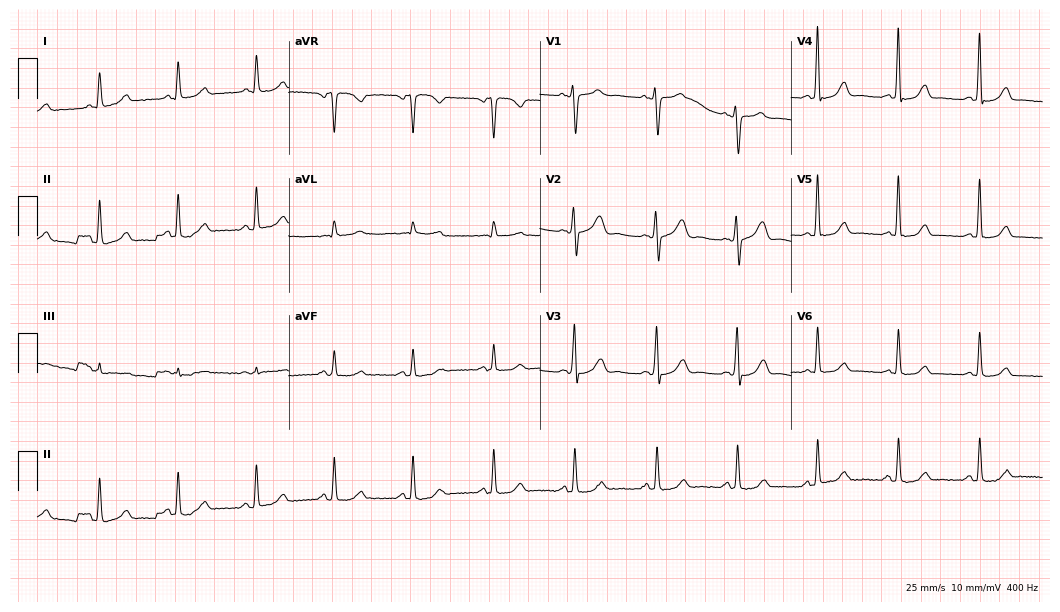
12-lead ECG from a 72-year-old female patient. No first-degree AV block, right bundle branch block, left bundle branch block, sinus bradycardia, atrial fibrillation or sinus tachycardia recorded for this tracing. Findings outside these six are not listed.